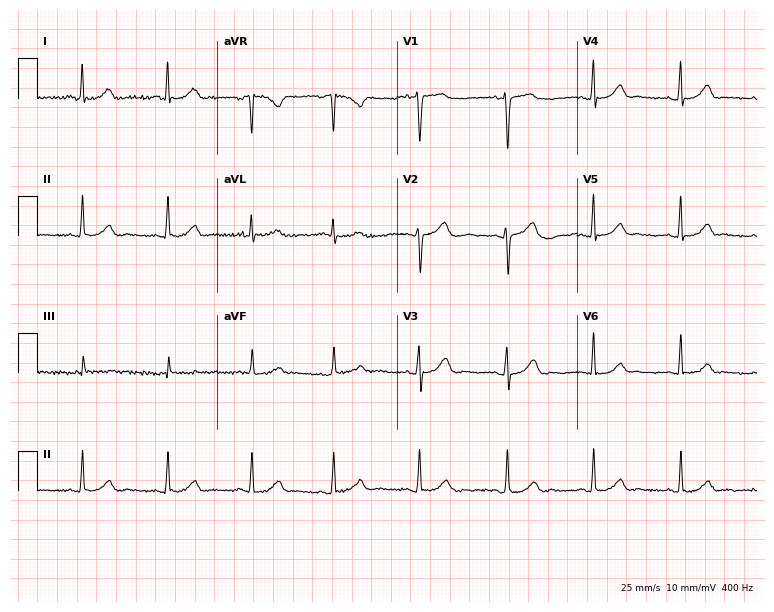
ECG (7.3-second recording at 400 Hz) — a 65-year-old female. Labelled as a normal ECG.